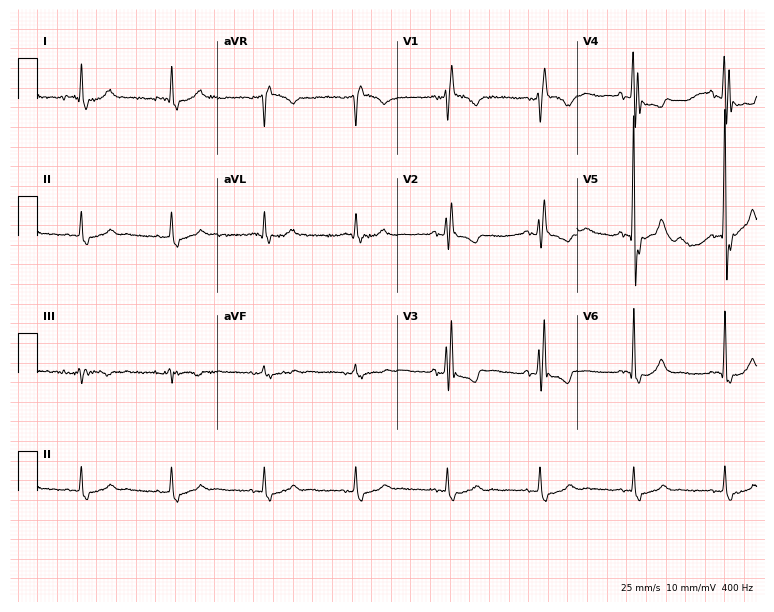
Resting 12-lead electrocardiogram. Patient: a 78-year-old female. The tracing shows right bundle branch block.